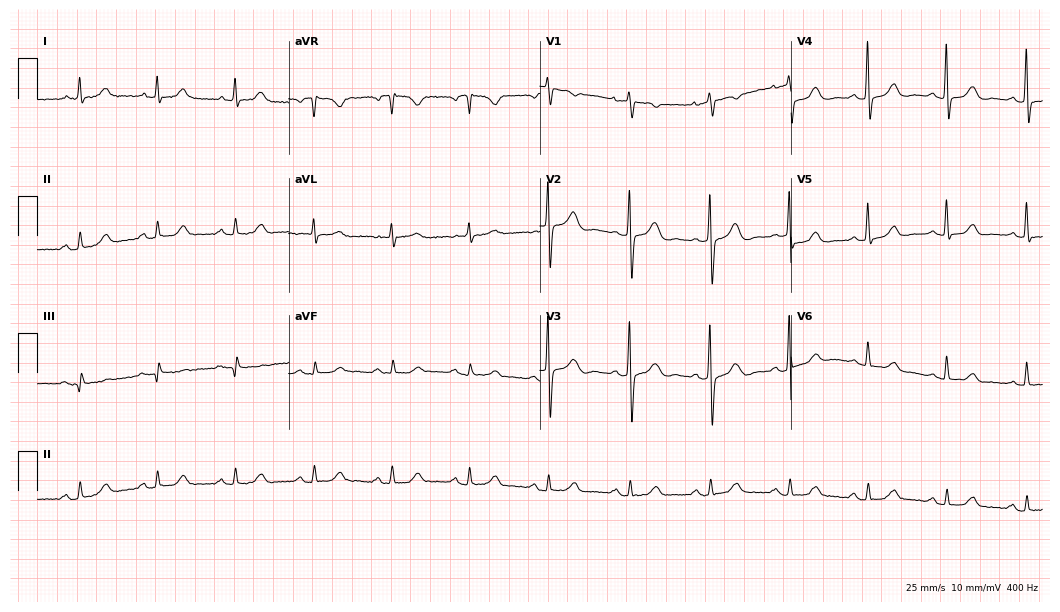
Resting 12-lead electrocardiogram. Patient: a 70-year-old woman. Read as a normal ECG.